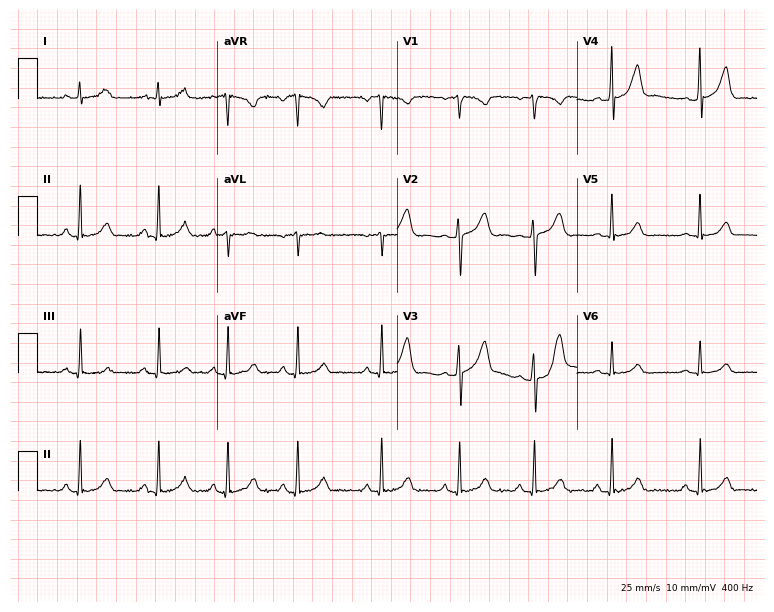
ECG (7.3-second recording at 400 Hz) — a 22-year-old man. Screened for six findings — first-degree AV block, right bundle branch block (RBBB), left bundle branch block (LBBB), sinus bradycardia, atrial fibrillation (AF), sinus tachycardia — none is recorded. Other findings, if any, are not listed.